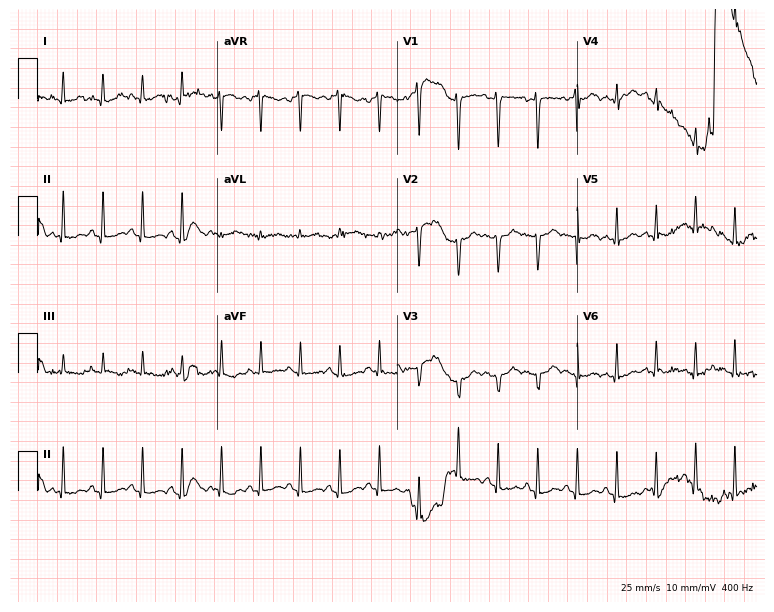
12-lead ECG from a 27-year-old female (7.3-second recording at 400 Hz). Shows sinus tachycardia (a sinus rate of 100 beats per minute or more).